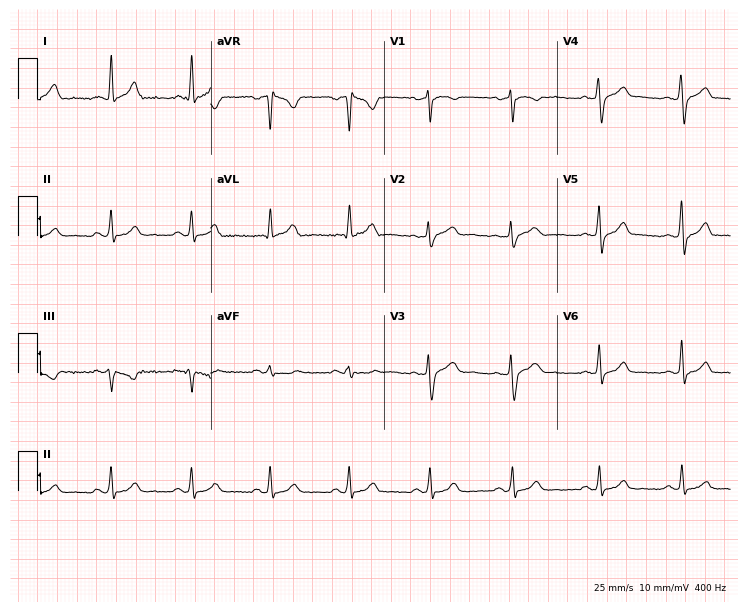
12-lead ECG (7.1-second recording at 400 Hz) from a 44-year-old woman. Labelled as a normal ECG.